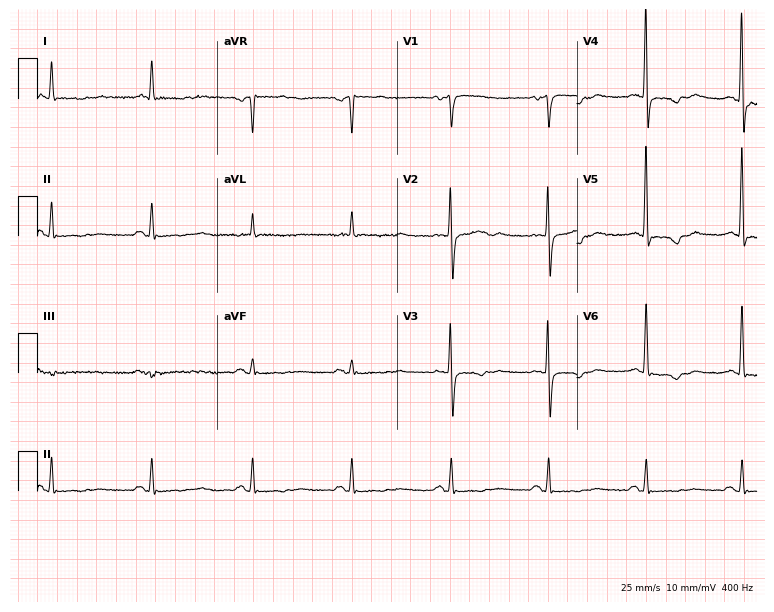
Standard 12-lead ECG recorded from a 59-year-old male patient (7.3-second recording at 400 Hz). None of these six findings is recorded: first-degree AV block, right bundle branch block, left bundle branch block, sinus bradycardia, atrial fibrillation, sinus tachycardia.